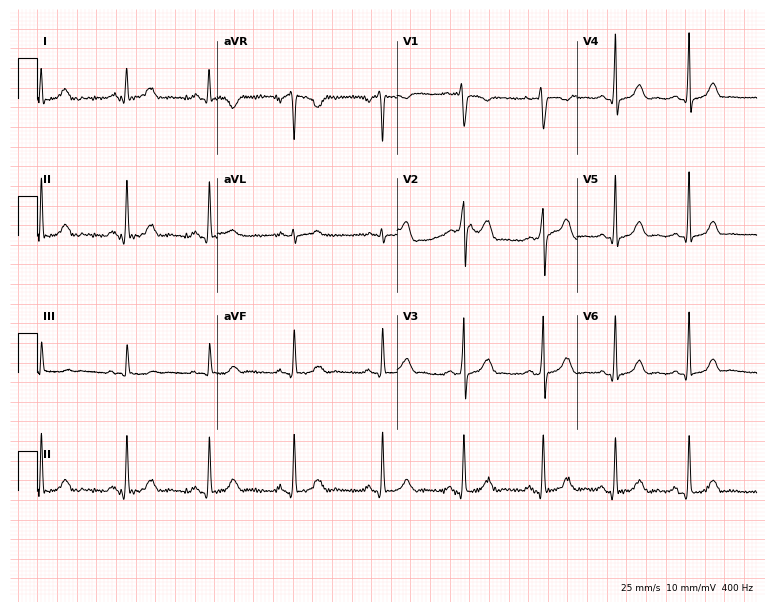
Electrocardiogram (7.3-second recording at 400 Hz), a 31-year-old female. Overall reading on record: normal ECG.